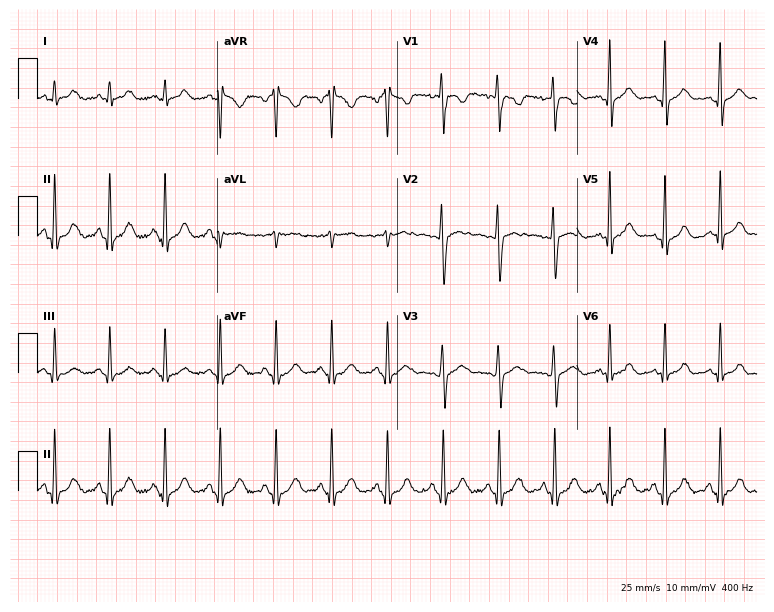
Resting 12-lead electrocardiogram (7.3-second recording at 400 Hz). Patient: a woman, 27 years old. The tracing shows sinus tachycardia (a sinus rate of 100 beats per minute or more).